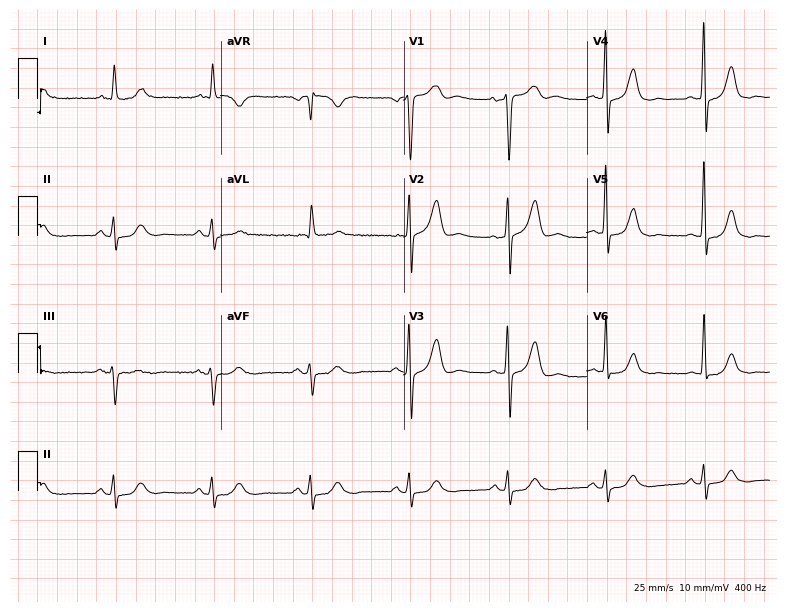
12-lead ECG from a 70-year-old male patient. No first-degree AV block, right bundle branch block, left bundle branch block, sinus bradycardia, atrial fibrillation or sinus tachycardia recorded for this tracing. Other findings, if any, are not listed.